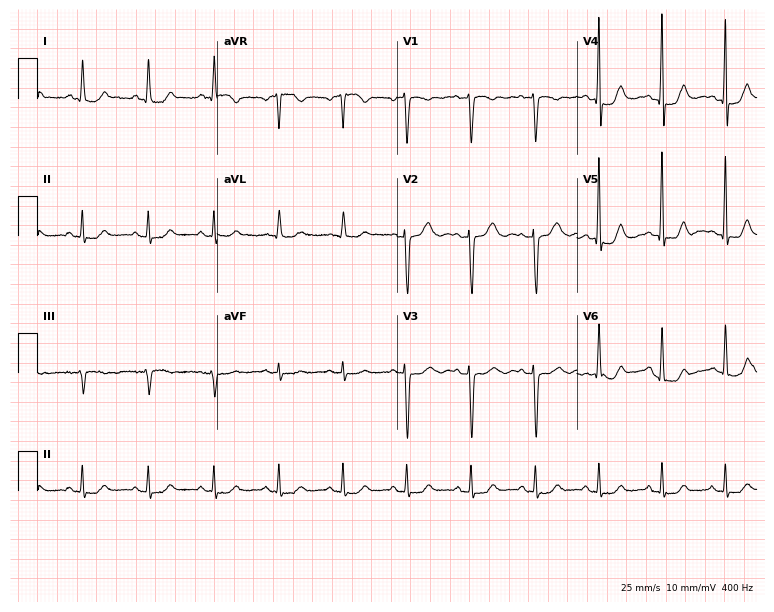
Standard 12-lead ECG recorded from a 76-year-old female patient (7.3-second recording at 400 Hz). Read as a normal ECG.